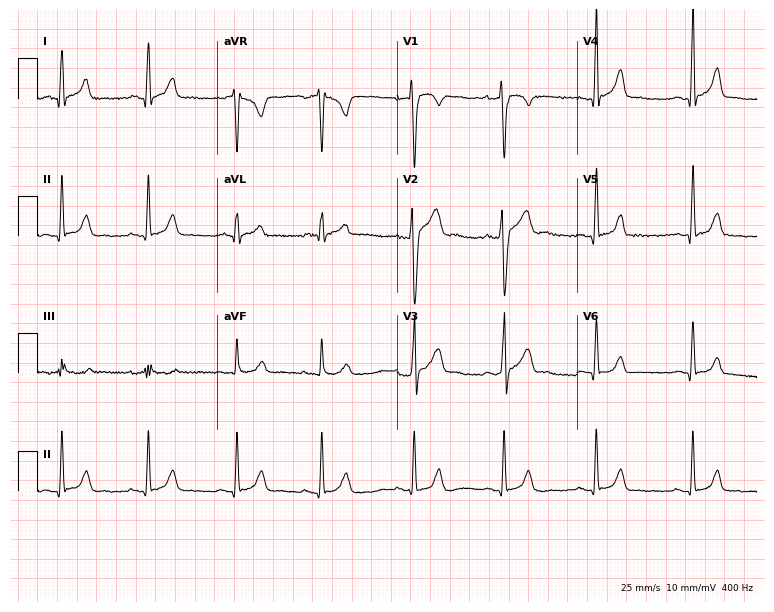
Resting 12-lead electrocardiogram. Patient: a male, 20 years old. Read as a normal ECG.